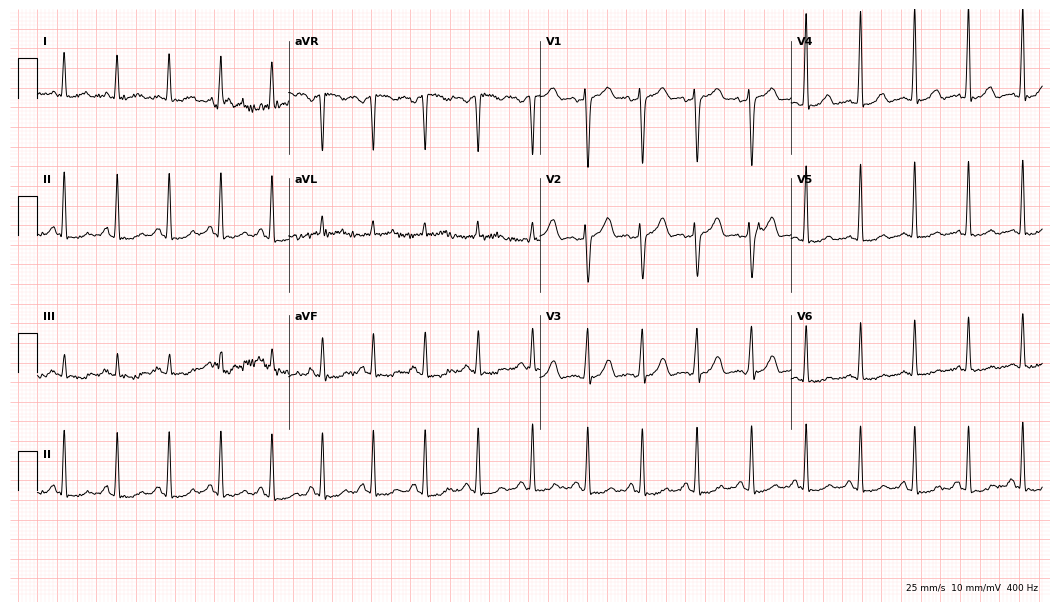
Standard 12-lead ECG recorded from a female, 49 years old. None of these six findings is recorded: first-degree AV block, right bundle branch block (RBBB), left bundle branch block (LBBB), sinus bradycardia, atrial fibrillation (AF), sinus tachycardia. Only these six findings were labelled.